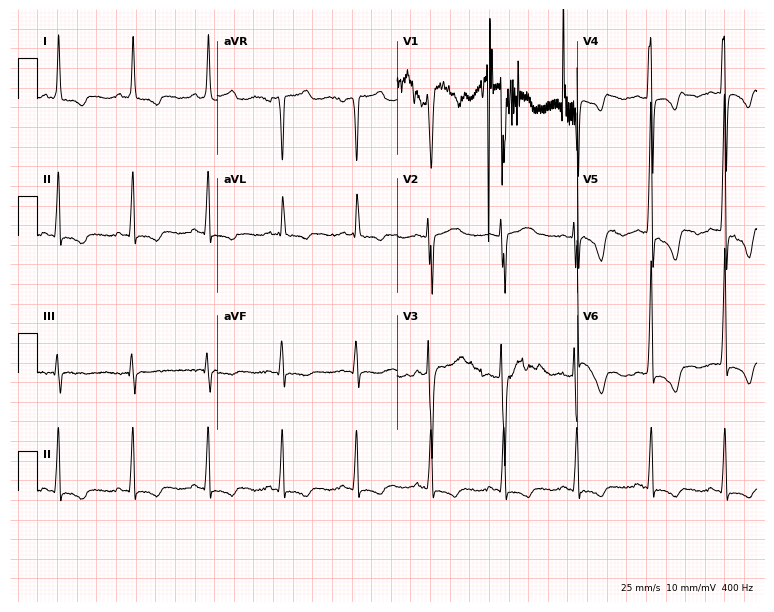
Electrocardiogram, a 50-year-old woman. Of the six screened findings (first-degree AV block, right bundle branch block (RBBB), left bundle branch block (LBBB), sinus bradycardia, atrial fibrillation (AF), sinus tachycardia), none is recorded.